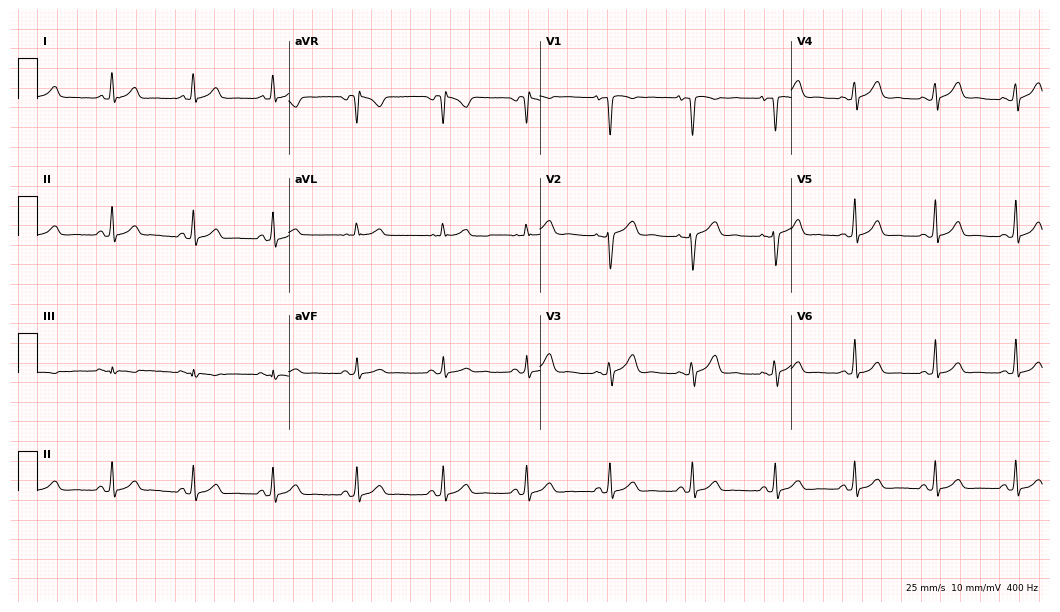
ECG (10.2-second recording at 400 Hz) — a woman, 30 years old. Labelled as a normal ECG.